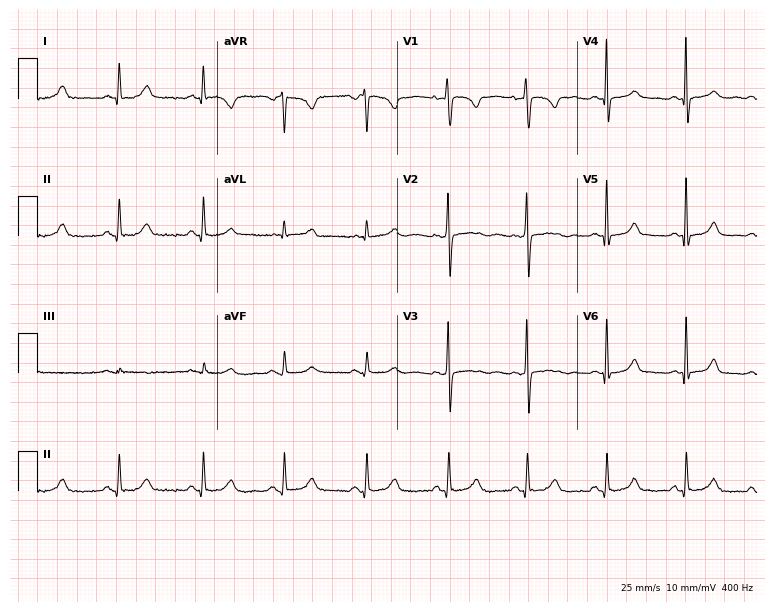
Electrocardiogram (7.3-second recording at 400 Hz), a female patient, 47 years old. Overall reading on record: normal ECG.